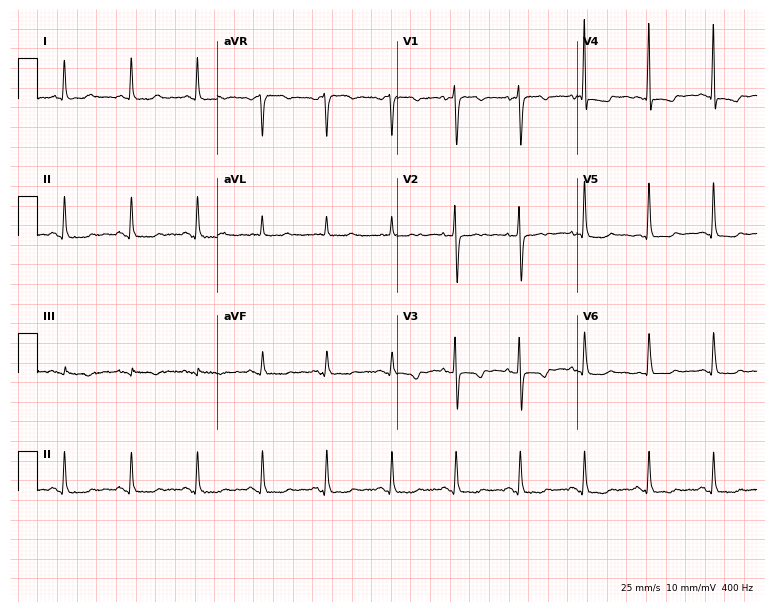
12-lead ECG (7.3-second recording at 400 Hz) from an 82-year-old female. Screened for six findings — first-degree AV block, right bundle branch block (RBBB), left bundle branch block (LBBB), sinus bradycardia, atrial fibrillation (AF), sinus tachycardia — none is recorded.